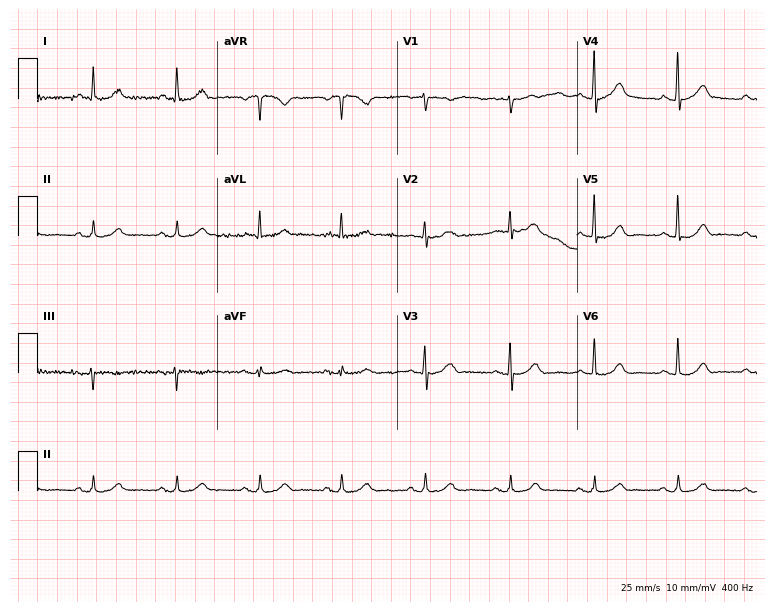
Standard 12-lead ECG recorded from a 75-year-old female (7.3-second recording at 400 Hz). Read as a normal ECG.